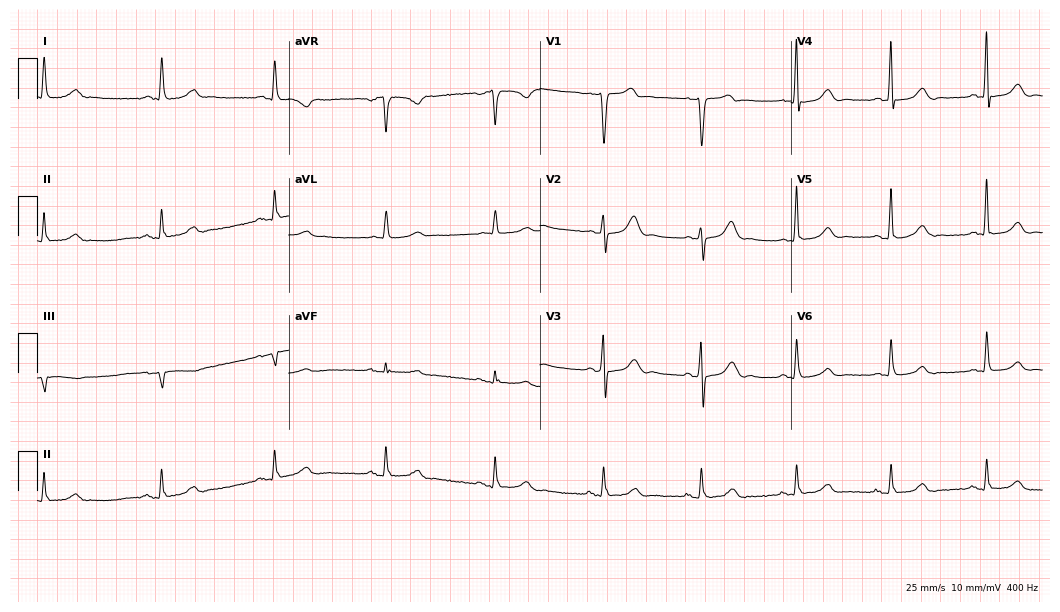
Standard 12-lead ECG recorded from a male patient, 71 years old. Read as a normal ECG.